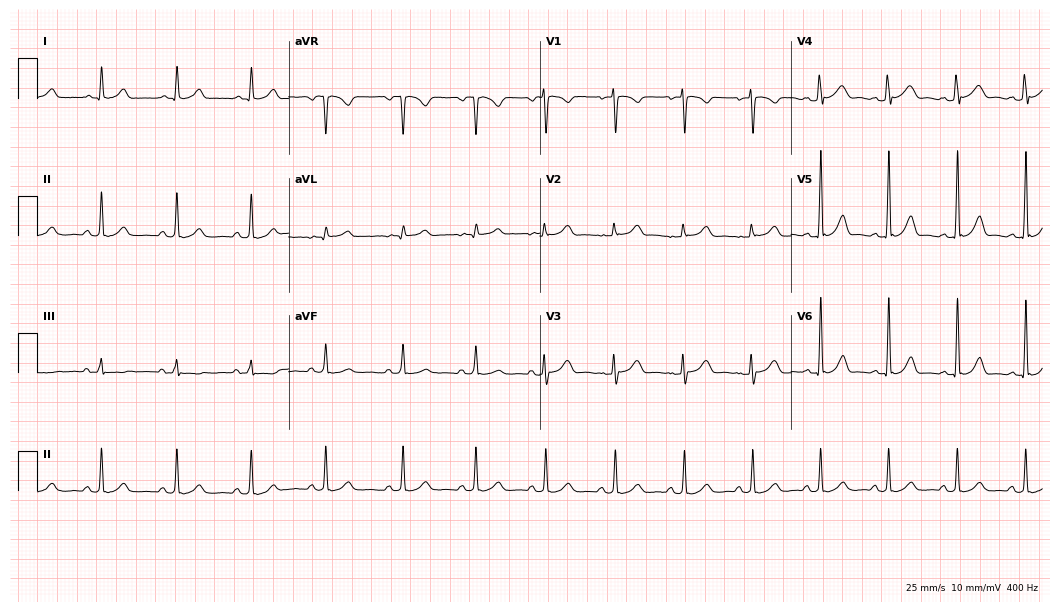
Standard 12-lead ECG recorded from a 26-year-old female patient (10.2-second recording at 400 Hz). Read as a normal ECG.